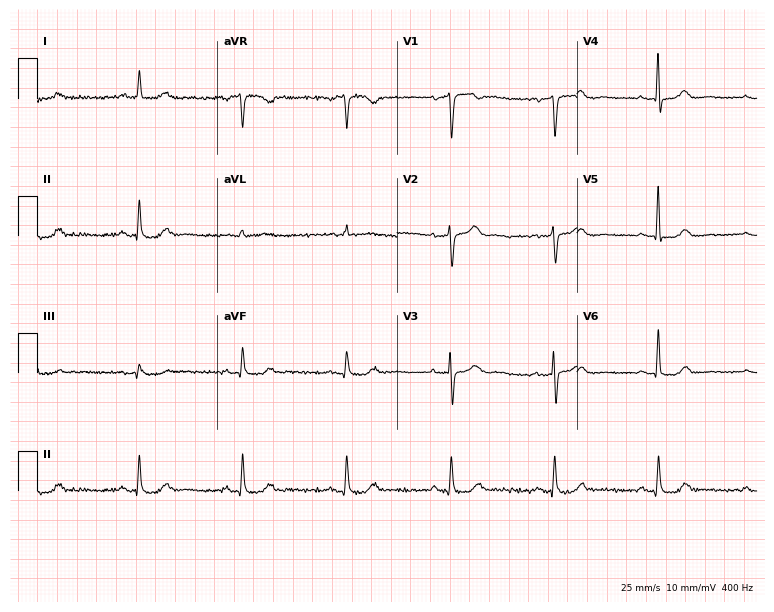
Electrocardiogram, a 67-year-old female. Of the six screened findings (first-degree AV block, right bundle branch block, left bundle branch block, sinus bradycardia, atrial fibrillation, sinus tachycardia), none is recorded.